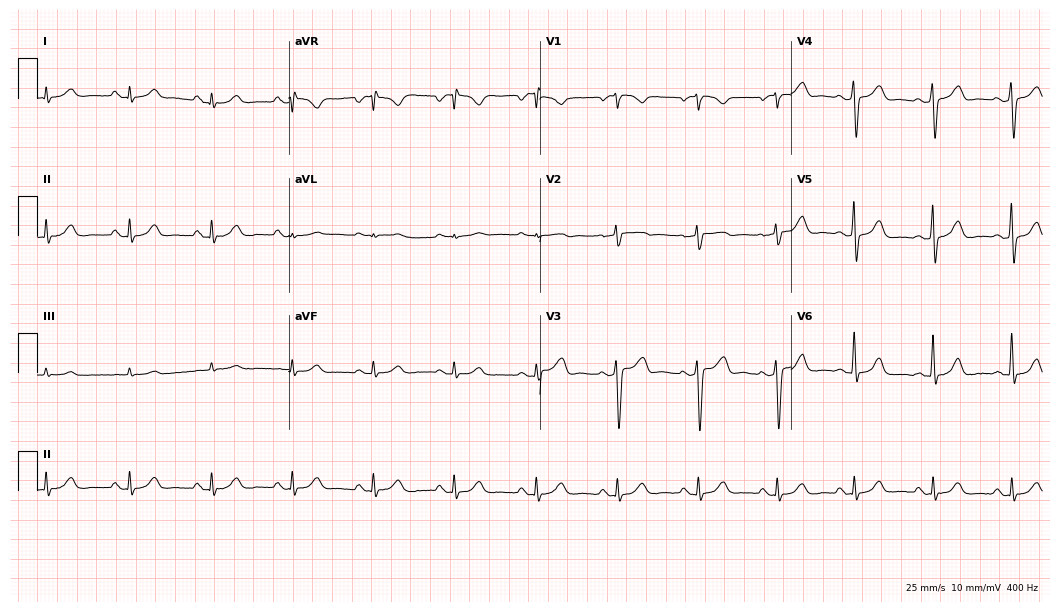
12-lead ECG from a man, 32 years old. Labelled as a normal ECG.